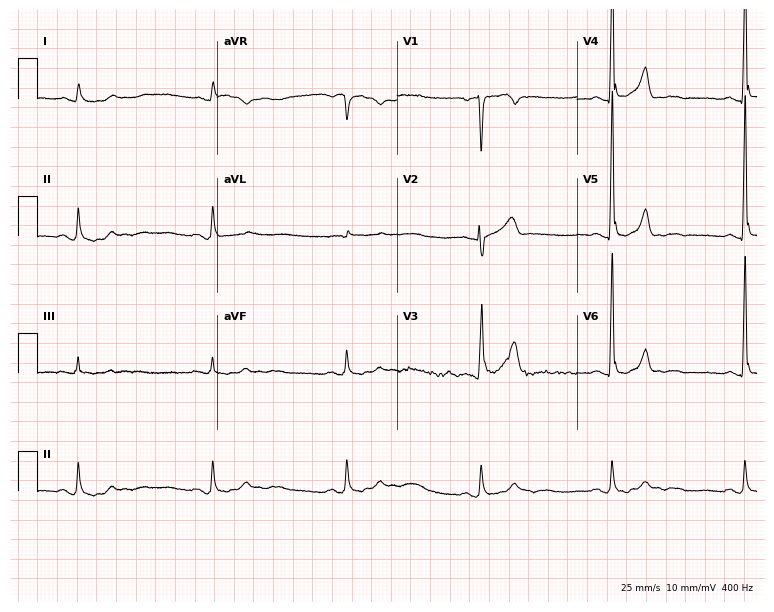
Electrocardiogram (7.3-second recording at 400 Hz), a 59-year-old male patient. Interpretation includes sinus bradycardia (a sinus rate of 50 beats per minute or less).